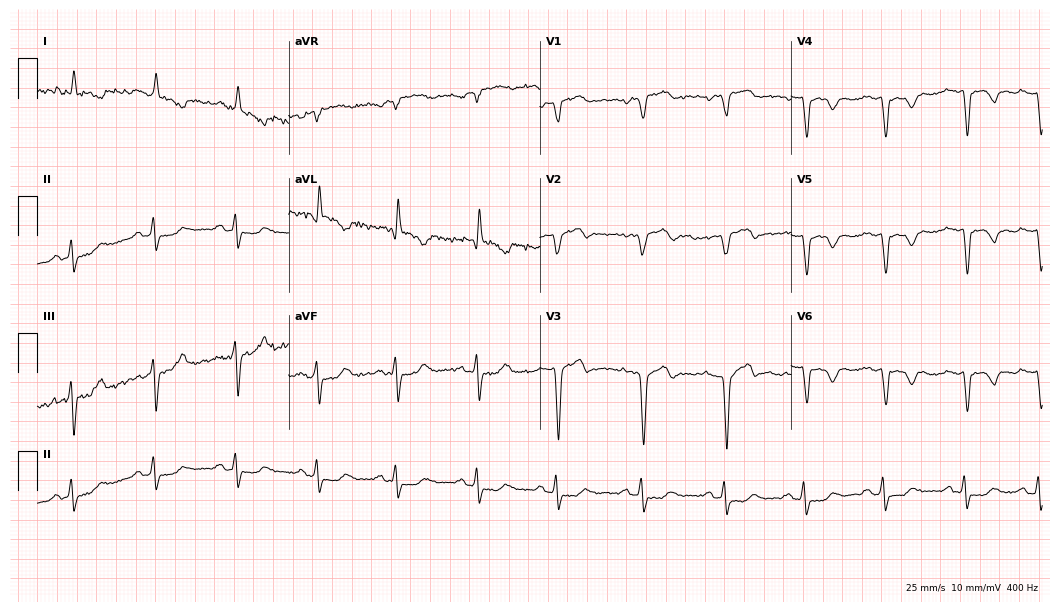
Resting 12-lead electrocardiogram. Patient: a male, 76 years old. None of these six findings is recorded: first-degree AV block, right bundle branch block (RBBB), left bundle branch block (LBBB), sinus bradycardia, atrial fibrillation (AF), sinus tachycardia.